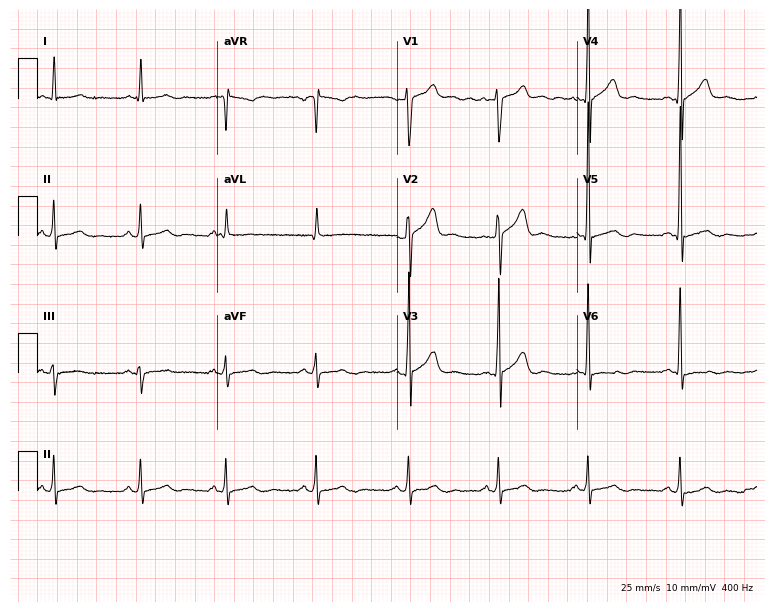
Electrocardiogram (7.3-second recording at 400 Hz), a 50-year-old man. Of the six screened findings (first-degree AV block, right bundle branch block (RBBB), left bundle branch block (LBBB), sinus bradycardia, atrial fibrillation (AF), sinus tachycardia), none is recorded.